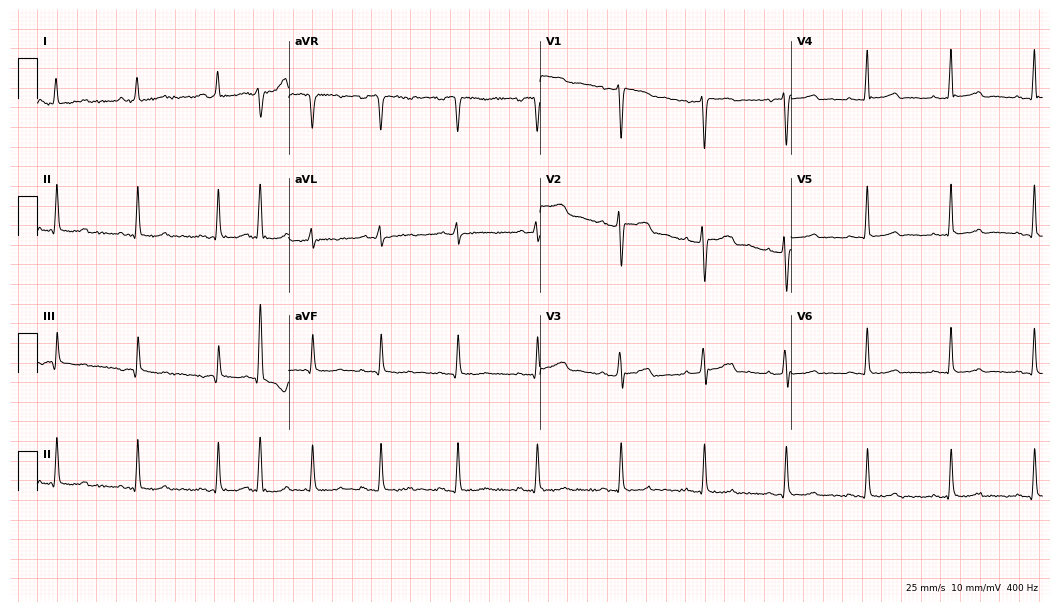
Resting 12-lead electrocardiogram. Patient: a 52-year-old female. None of these six findings is recorded: first-degree AV block, right bundle branch block (RBBB), left bundle branch block (LBBB), sinus bradycardia, atrial fibrillation (AF), sinus tachycardia. Other findings, if any, are not listed.